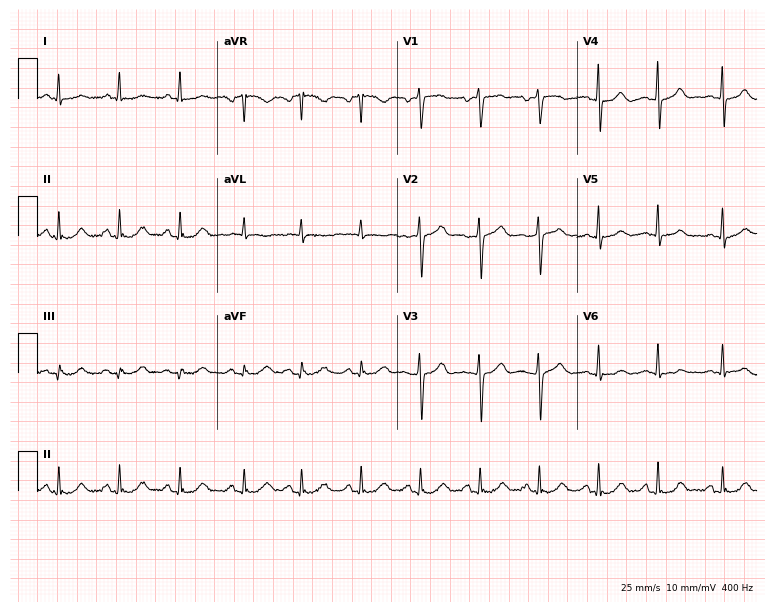
ECG — a 53-year-old female. Labelled as a normal ECG.